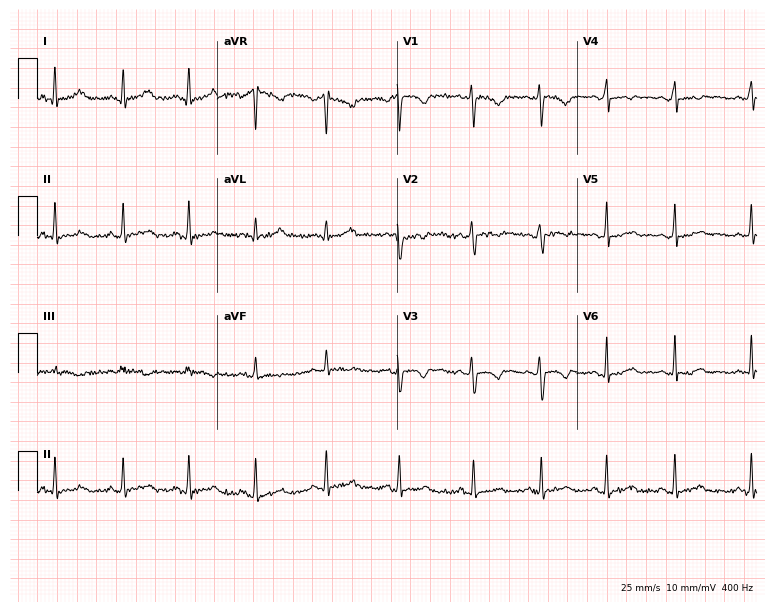
ECG — a female, 37 years old. Labelled as a normal ECG.